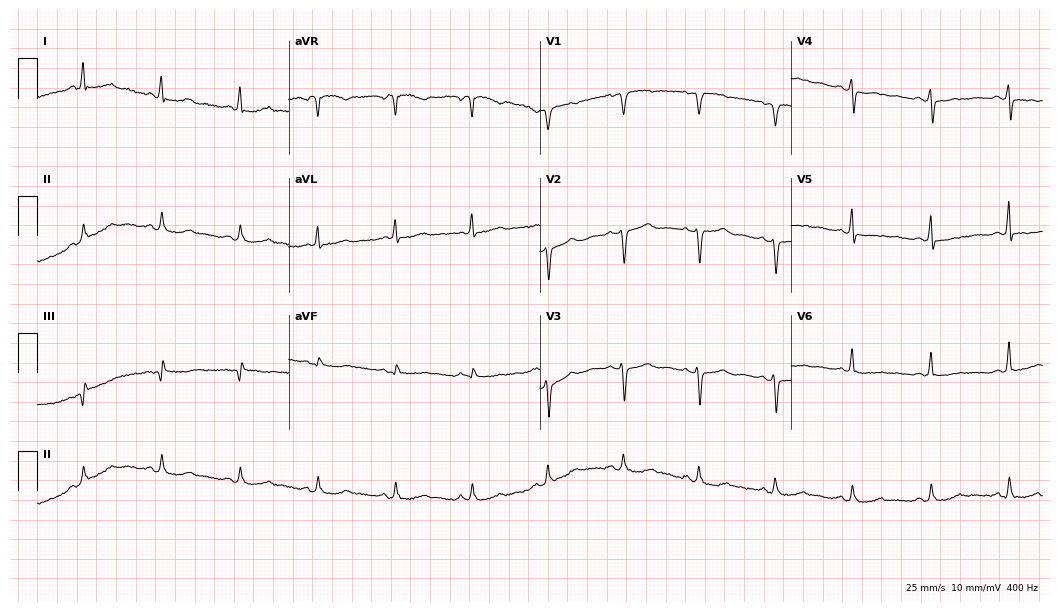
Standard 12-lead ECG recorded from a 59-year-old woman. None of these six findings is recorded: first-degree AV block, right bundle branch block (RBBB), left bundle branch block (LBBB), sinus bradycardia, atrial fibrillation (AF), sinus tachycardia.